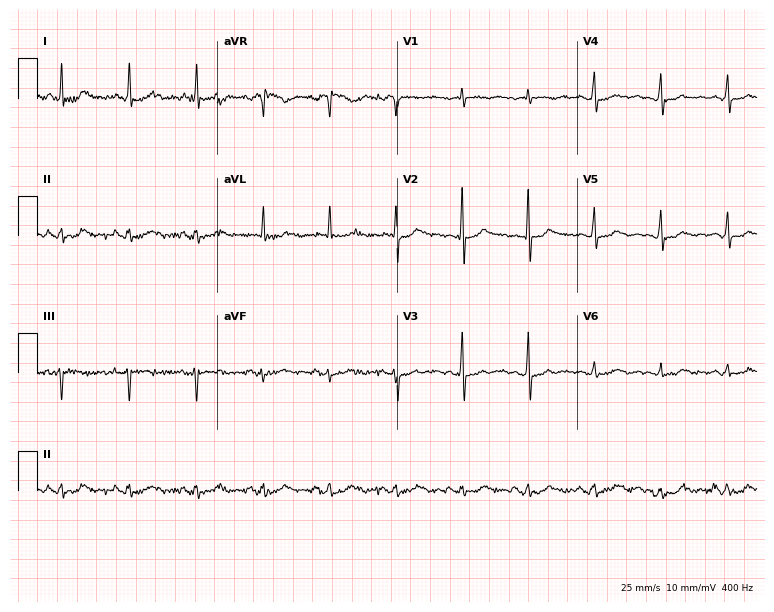
Resting 12-lead electrocardiogram. Patient: a 65-year-old male. None of these six findings is recorded: first-degree AV block, right bundle branch block, left bundle branch block, sinus bradycardia, atrial fibrillation, sinus tachycardia. Only these six findings were labelled.